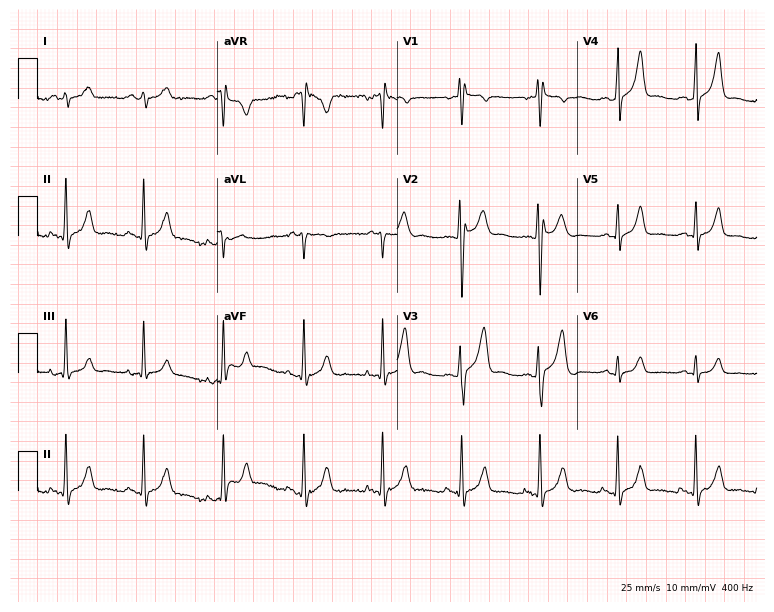
Standard 12-lead ECG recorded from a male, 20 years old (7.3-second recording at 400 Hz). None of these six findings is recorded: first-degree AV block, right bundle branch block, left bundle branch block, sinus bradycardia, atrial fibrillation, sinus tachycardia. Findings outside these six are not listed.